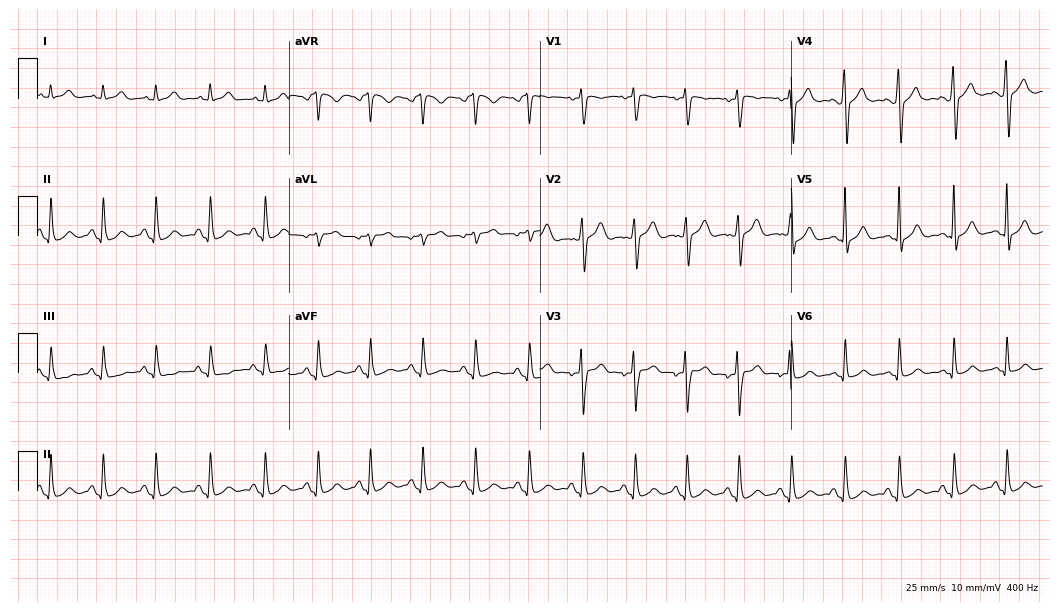
12-lead ECG from a female, 26 years old. No first-degree AV block, right bundle branch block, left bundle branch block, sinus bradycardia, atrial fibrillation or sinus tachycardia recorded for this tracing.